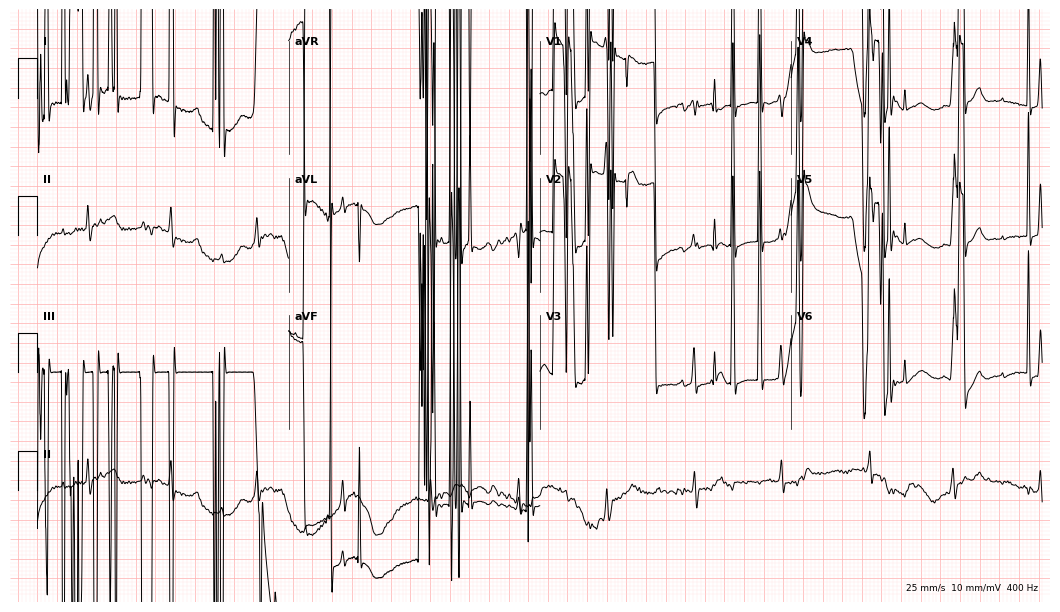
Electrocardiogram (10.2-second recording at 400 Hz), a female patient, 77 years old. Of the six screened findings (first-degree AV block, right bundle branch block, left bundle branch block, sinus bradycardia, atrial fibrillation, sinus tachycardia), none is recorded.